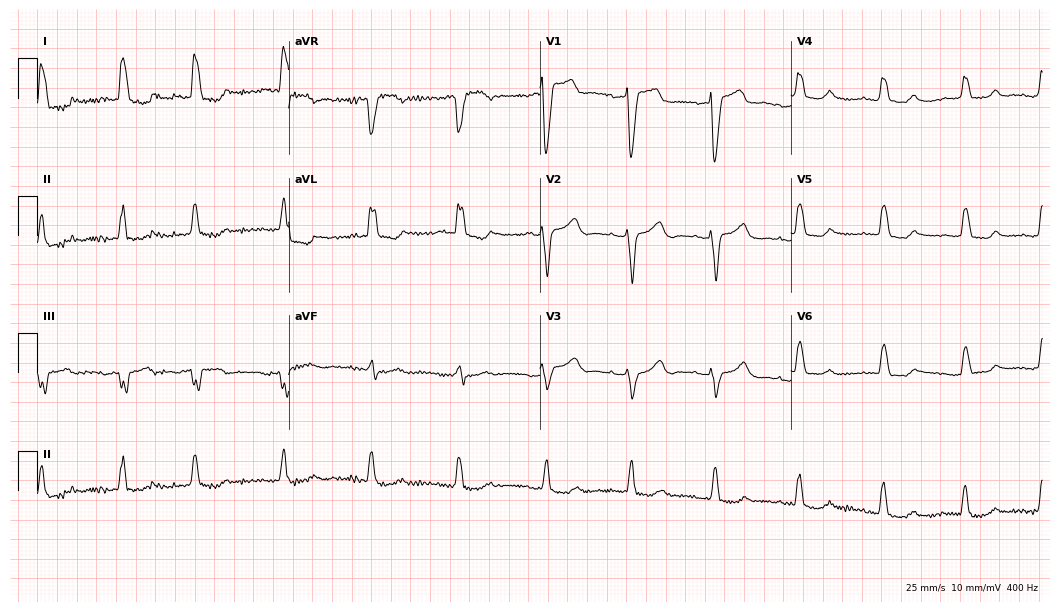
12-lead ECG from an 82-year-old female patient (10.2-second recording at 400 Hz). No first-degree AV block, right bundle branch block (RBBB), left bundle branch block (LBBB), sinus bradycardia, atrial fibrillation (AF) or sinus tachycardia recorded for this tracing.